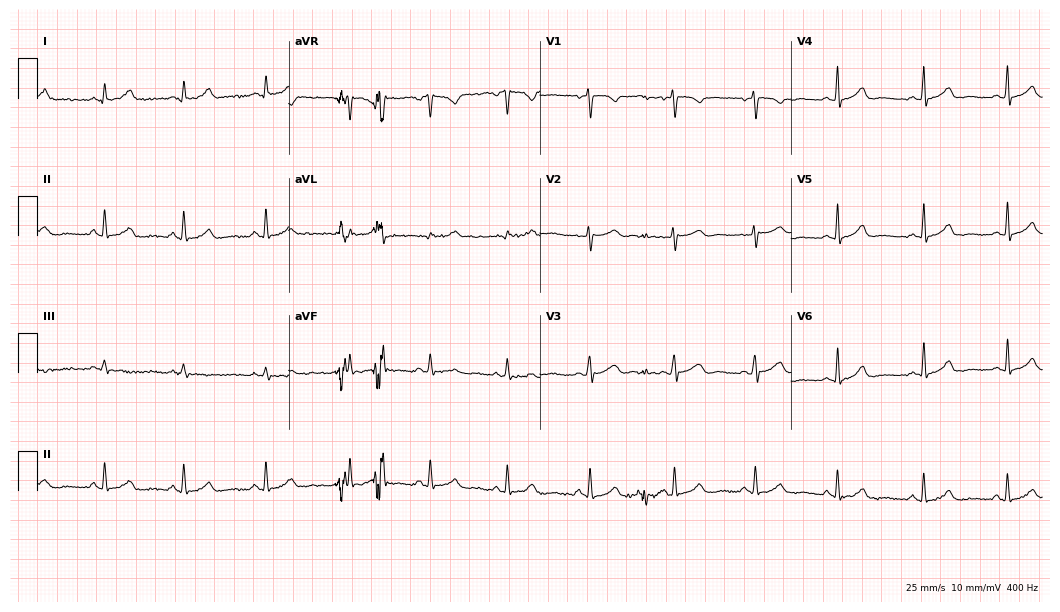
Resting 12-lead electrocardiogram. Patient: a 28-year-old female. Read as a normal ECG.